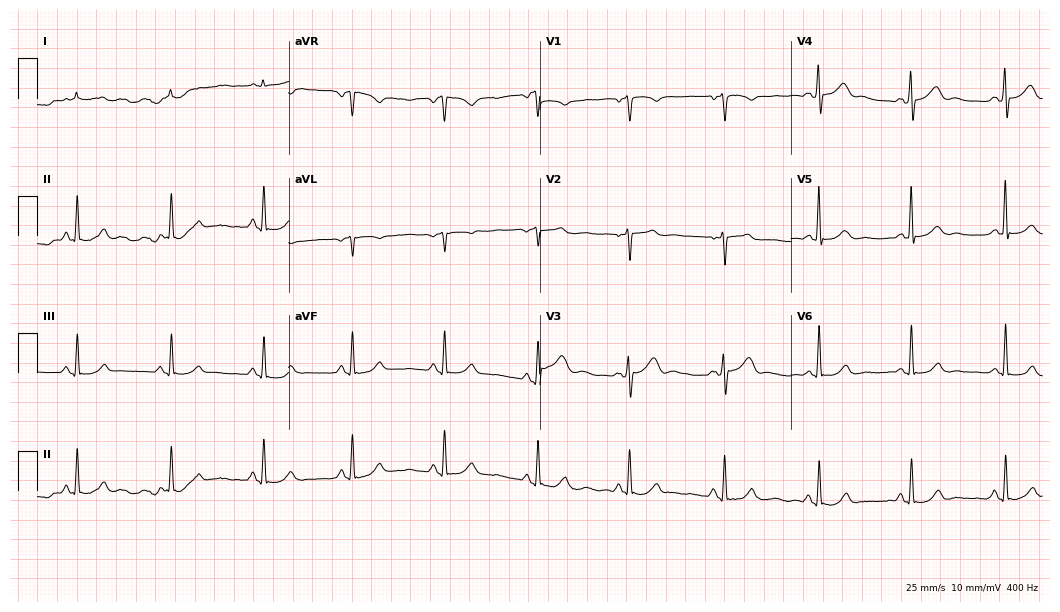
Resting 12-lead electrocardiogram. Patient: a man, 76 years old. Read as a normal ECG.